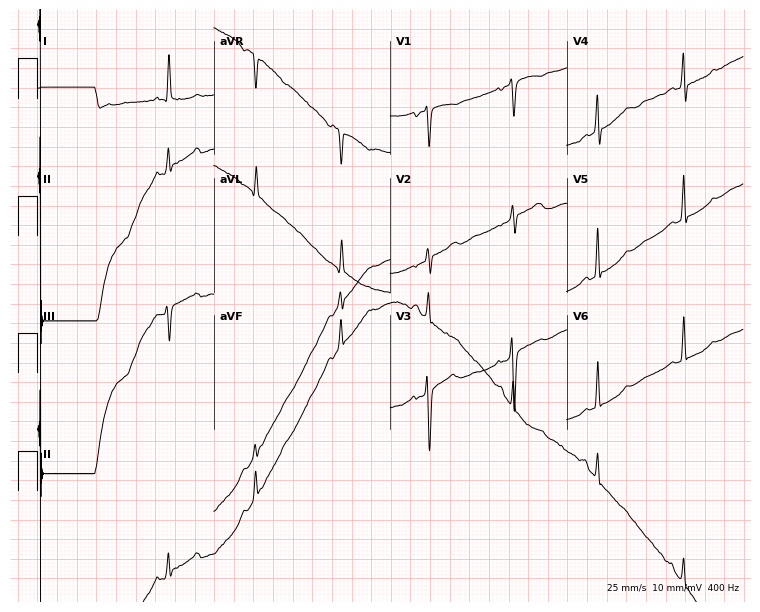
ECG (7.2-second recording at 400 Hz) — a 75-year-old woman. Screened for six findings — first-degree AV block, right bundle branch block, left bundle branch block, sinus bradycardia, atrial fibrillation, sinus tachycardia — none is recorded. Findings outside these six are not listed.